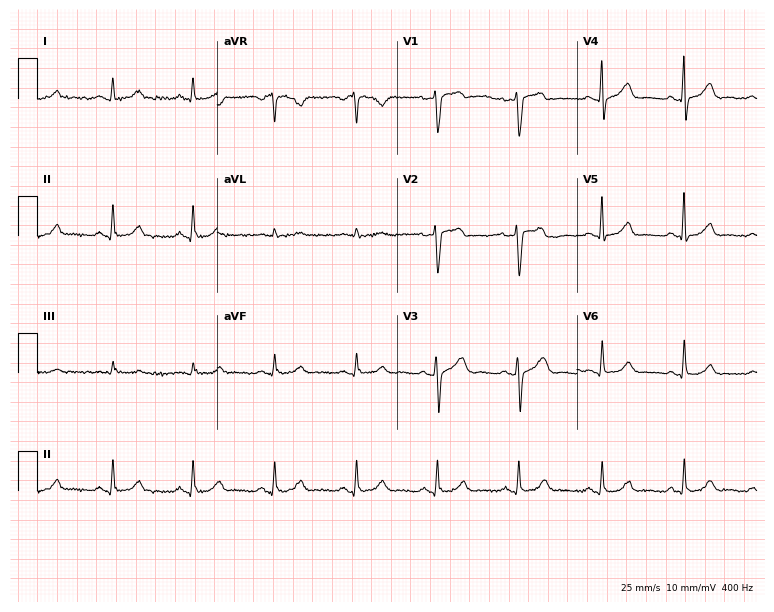
12-lead ECG from a 47-year-old female. Labelled as a normal ECG.